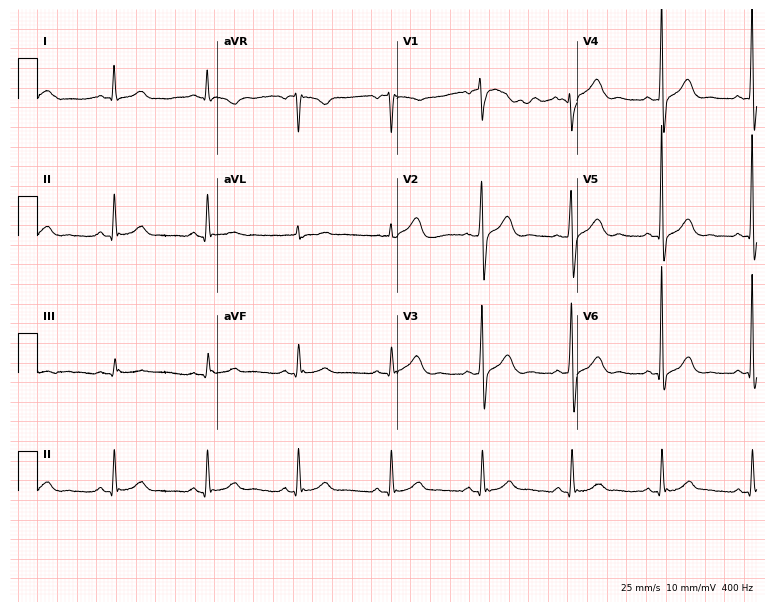
12-lead ECG from a male, 65 years old (7.3-second recording at 400 Hz). No first-degree AV block, right bundle branch block, left bundle branch block, sinus bradycardia, atrial fibrillation or sinus tachycardia recorded for this tracing.